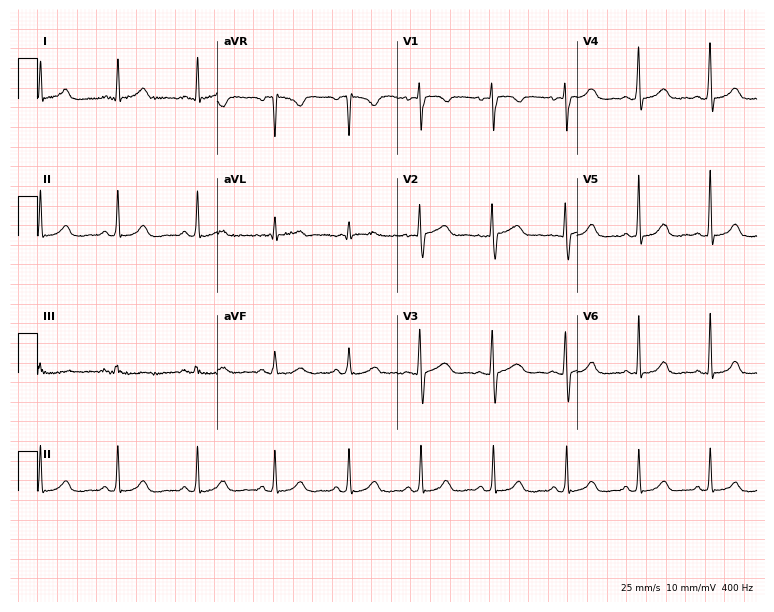
Standard 12-lead ECG recorded from a woman, 39 years old (7.3-second recording at 400 Hz). Read as a normal ECG.